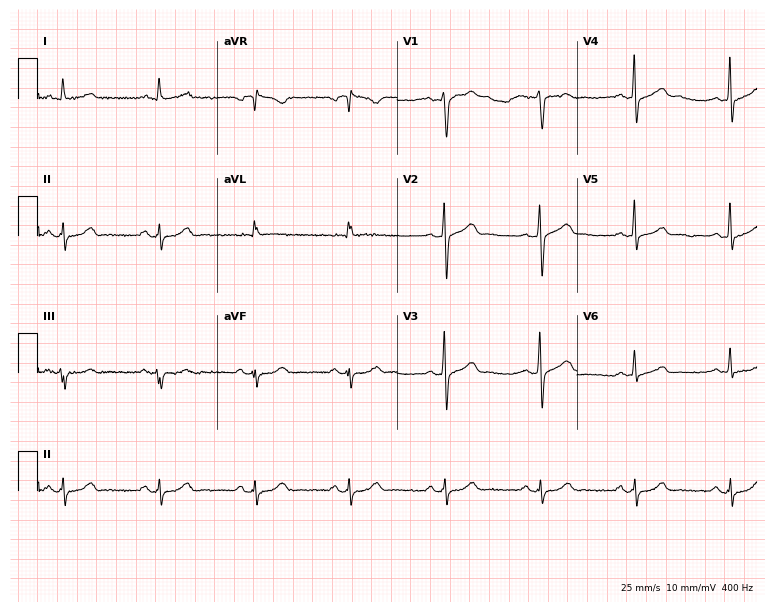
Electrocardiogram, a male, 71 years old. Of the six screened findings (first-degree AV block, right bundle branch block, left bundle branch block, sinus bradycardia, atrial fibrillation, sinus tachycardia), none is recorded.